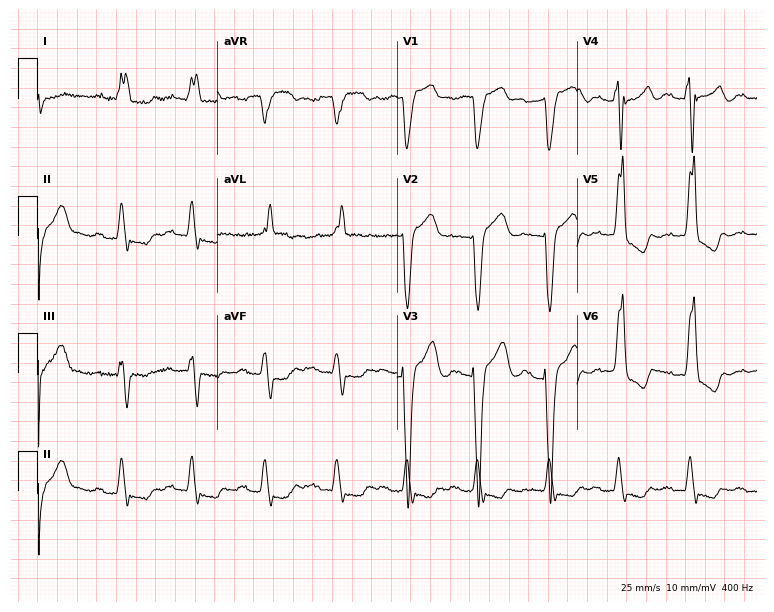
12-lead ECG from a 70-year-old female patient. Shows first-degree AV block, left bundle branch block.